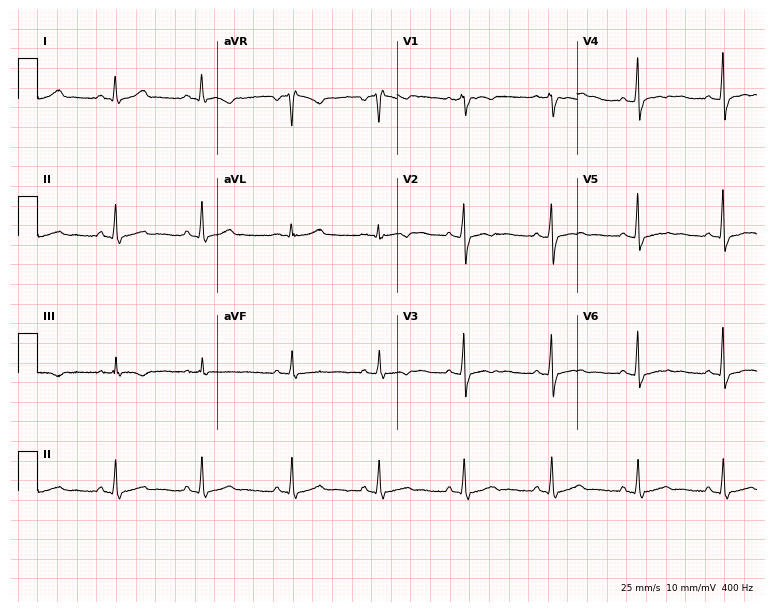
12-lead ECG from a 50-year-old female (7.3-second recording at 400 Hz). Recorded interpretation: within normal limits.